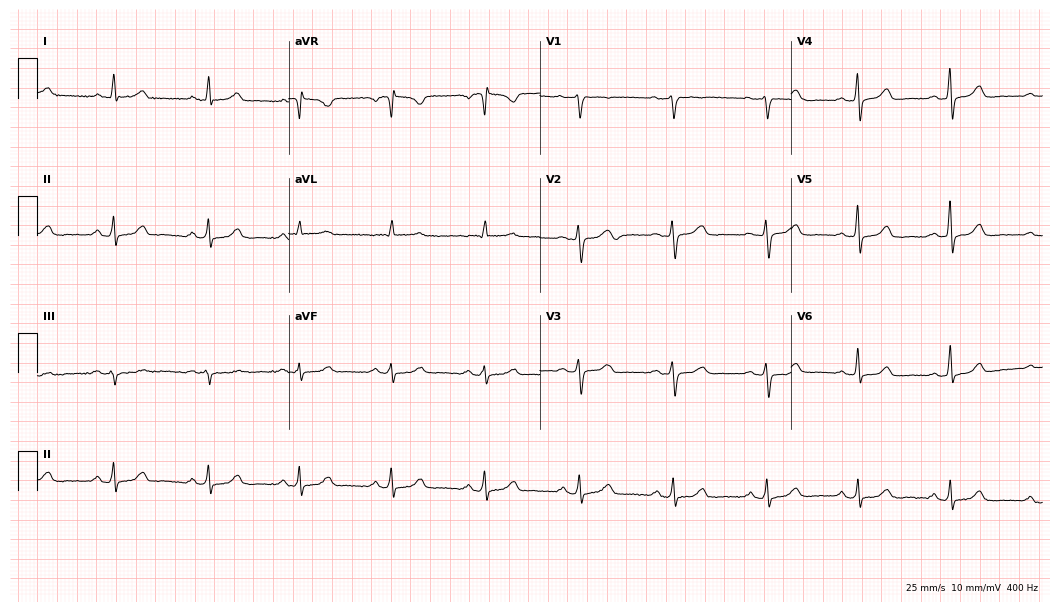
12-lead ECG from a 53-year-old male patient. Recorded interpretation: within normal limits.